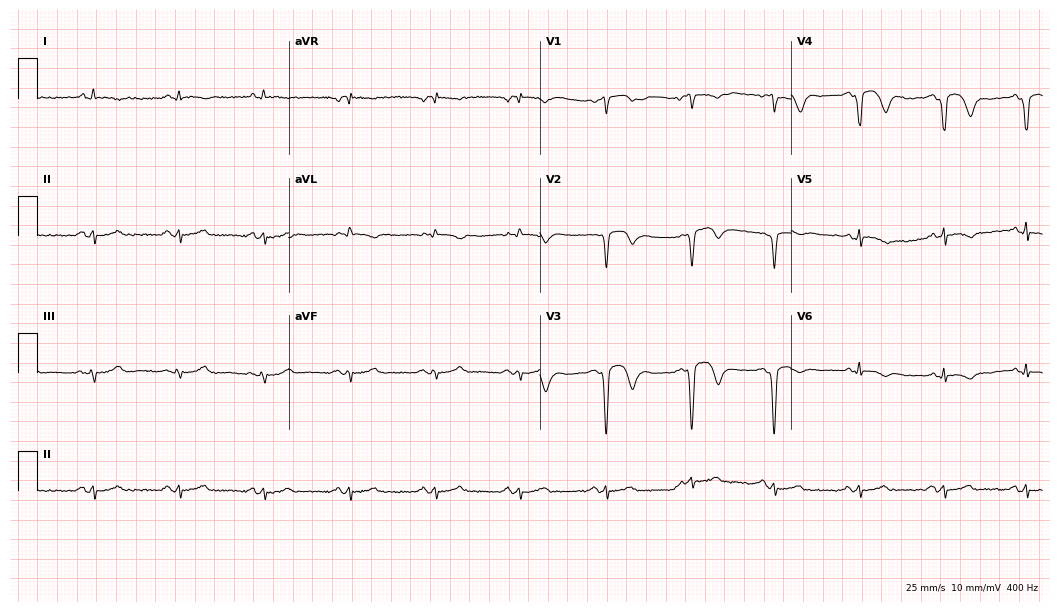
Electrocardiogram (10.2-second recording at 400 Hz), an 80-year-old male patient. Of the six screened findings (first-degree AV block, right bundle branch block, left bundle branch block, sinus bradycardia, atrial fibrillation, sinus tachycardia), none is recorded.